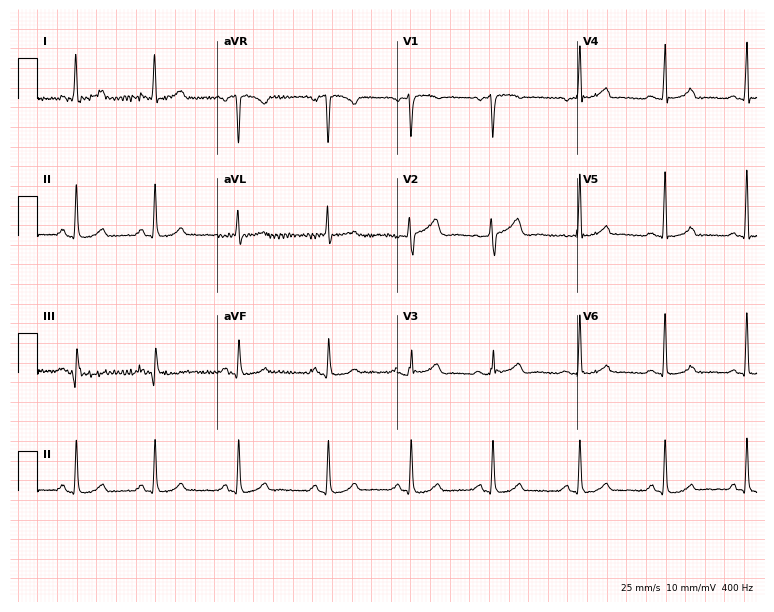
Resting 12-lead electrocardiogram (7.3-second recording at 400 Hz). Patient: a 44-year-old woman. Read as a normal ECG.